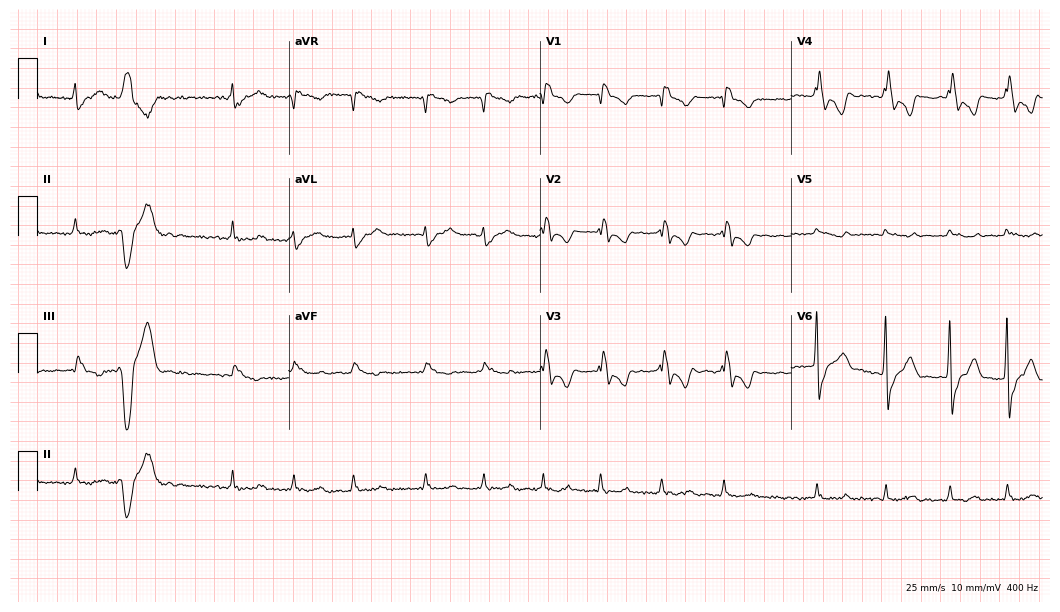
ECG — a man, 76 years old. Findings include right bundle branch block, atrial fibrillation.